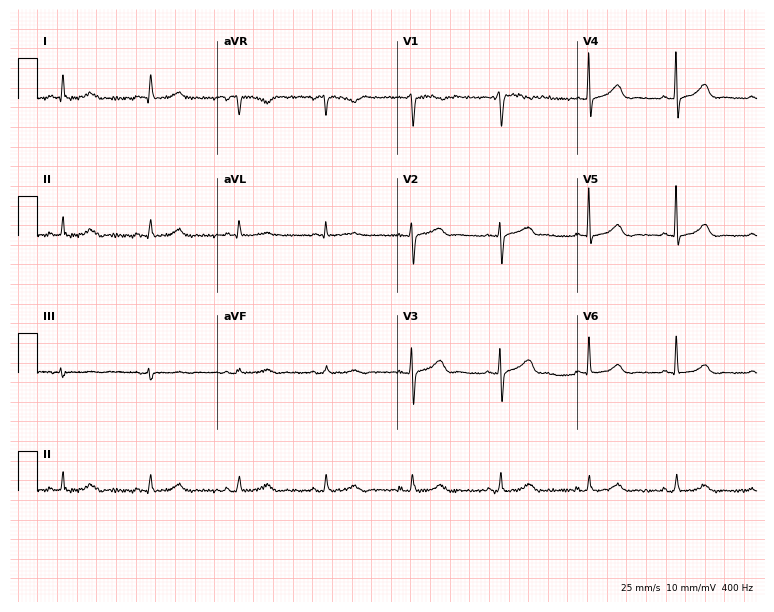
Electrocardiogram, a 64-year-old female patient. Overall reading on record: normal ECG.